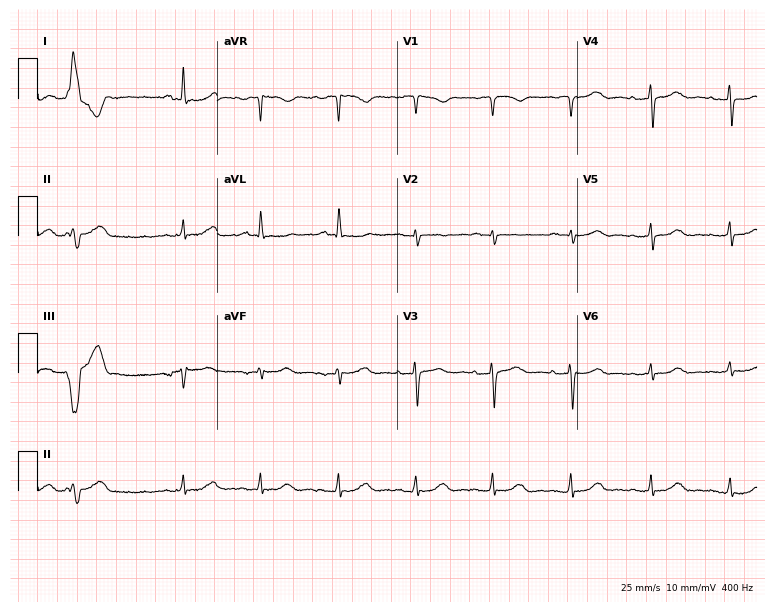
12-lead ECG (7.3-second recording at 400 Hz) from a female patient, 64 years old. Labelled as a normal ECG.